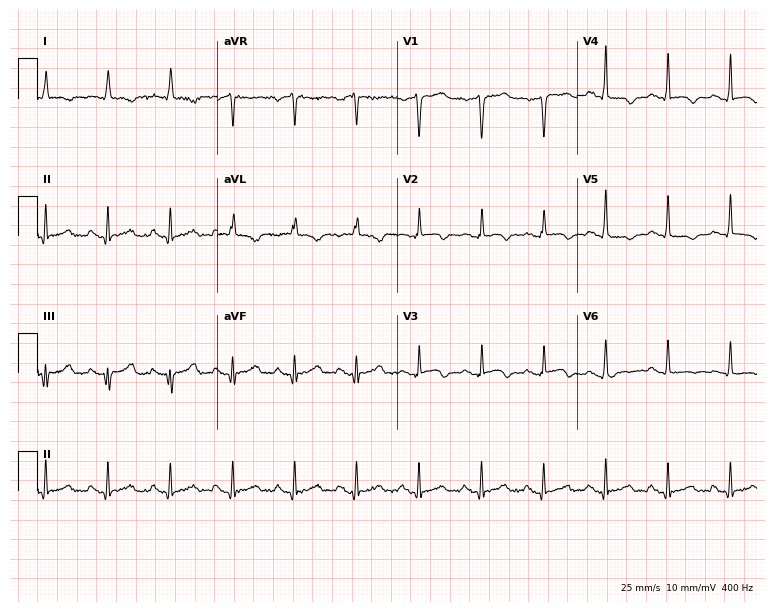
12-lead ECG from a female patient, 76 years old. Screened for six findings — first-degree AV block, right bundle branch block, left bundle branch block, sinus bradycardia, atrial fibrillation, sinus tachycardia — none is recorded.